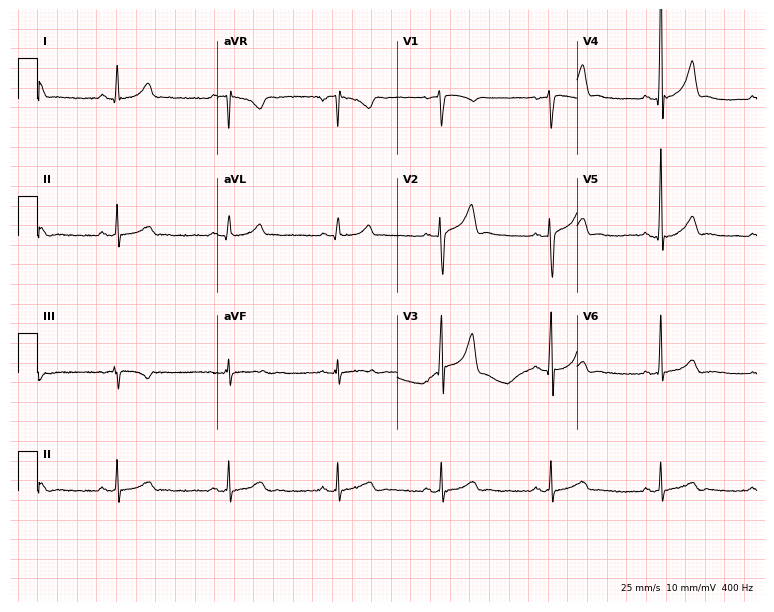
Standard 12-lead ECG recorded from a 35-year-old male (7.3-second recording at 400 Hz). None of these six findings is recorded: first-degree AV block, right bundle branch block (RBBB), left bundle branch block (LBBB), sinus bradycardia, atrial fibrillation (AF), sinus tachycardia.